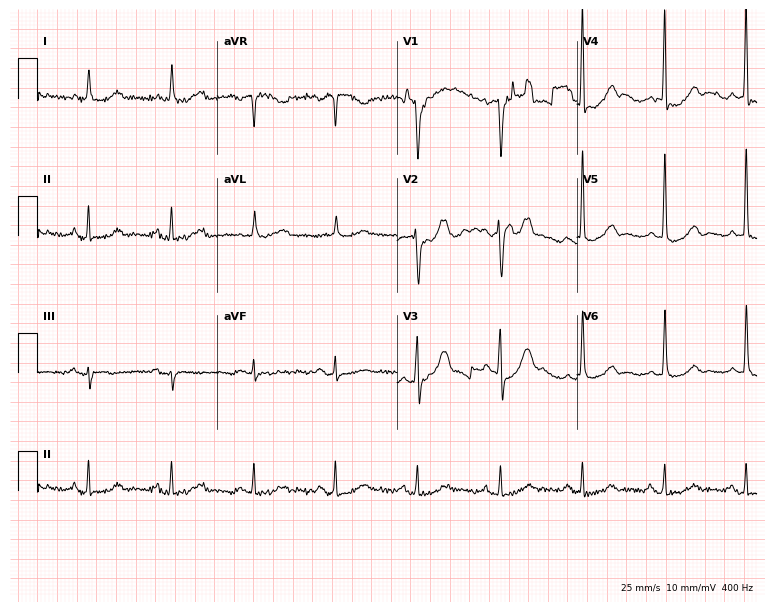
12-lead ECG from a 71-year-old male patient. No first-degree AV block, right bundle branch block, left bundle branch block, sinus bradycardia, atrial fibrillation or sinus tachycardia recorded for this tracing.